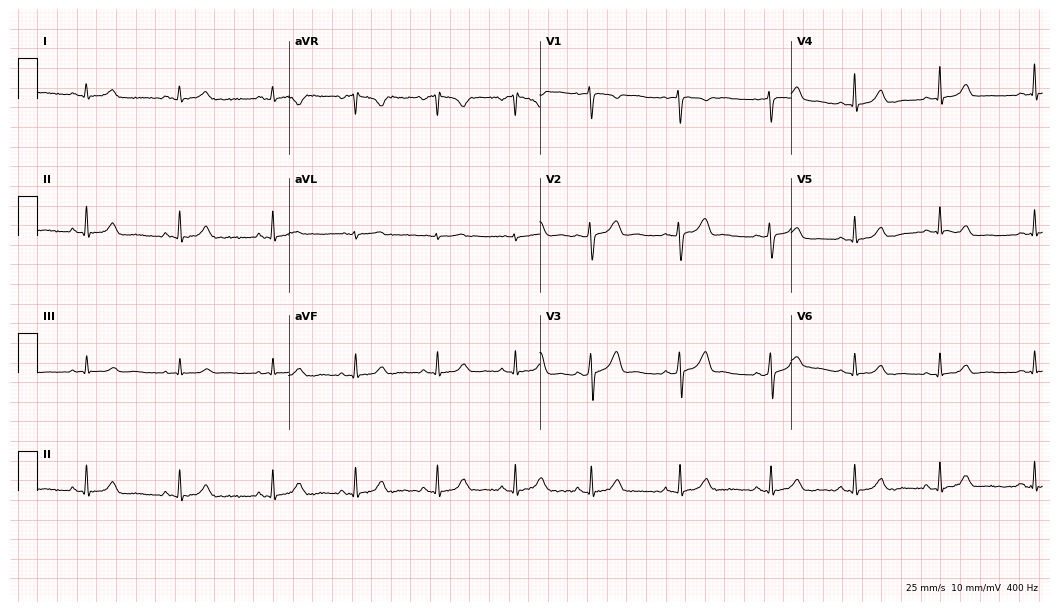
Resting 12-lead electrocardiogram. Patient: a female, 26 years old. Read as a normal ECG.